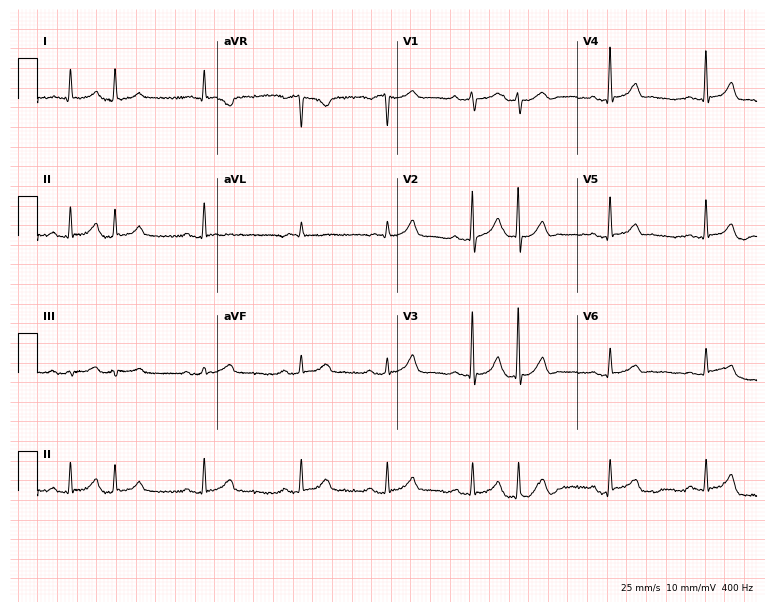
Resting 12-lead electrocardiogram. Patient: a female, 84 years old. None of these six findings is recorded: first-degree AV block, right bundle branch block, left bundle branch block, sinus bradycardia, atrial fibrillation, sinus tachycardia. Other findings, if any, are not listed.